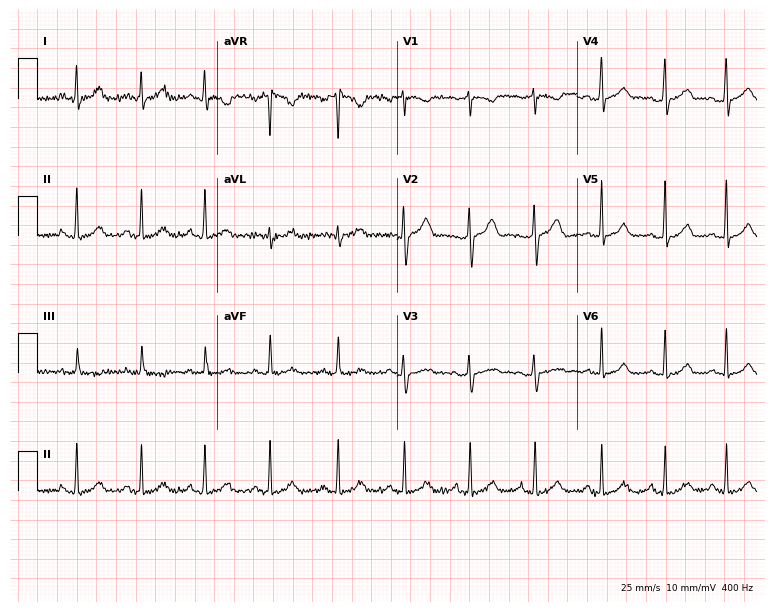
12-lead ECG from a woman, 38 years old. Recorded interpretation: within normal limits.